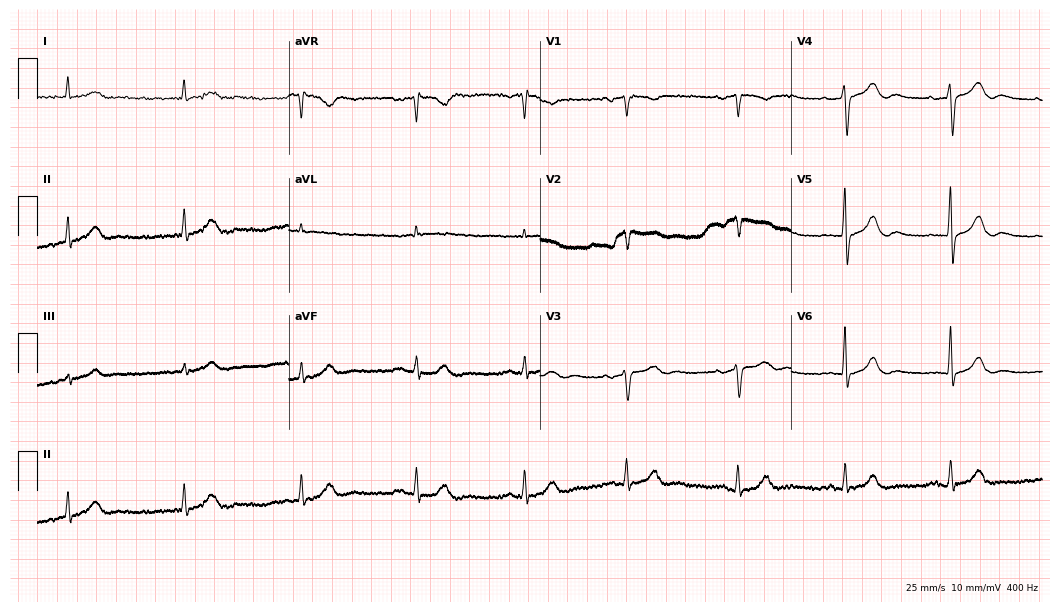
12-lead ECG from a female patient, 74 years old. No first-degree AV block, right bundle branch block, left bundle branch block, sinus bradycardia, atrial fibrillation or sinus tachycardia recorded for this tracing.